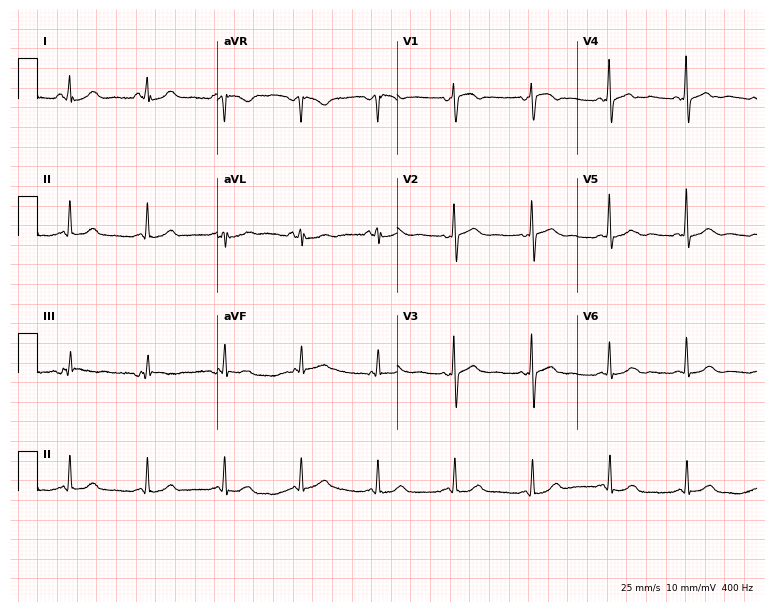
Resting 12-lead electrocardiogram. Patient: a 67-year-old female. None of these six findings is recorded: first-degree AV block, right bundle branch block, left bundle branch block, sinus bradycardia, atrial fibrillation, sinus tachycardia.